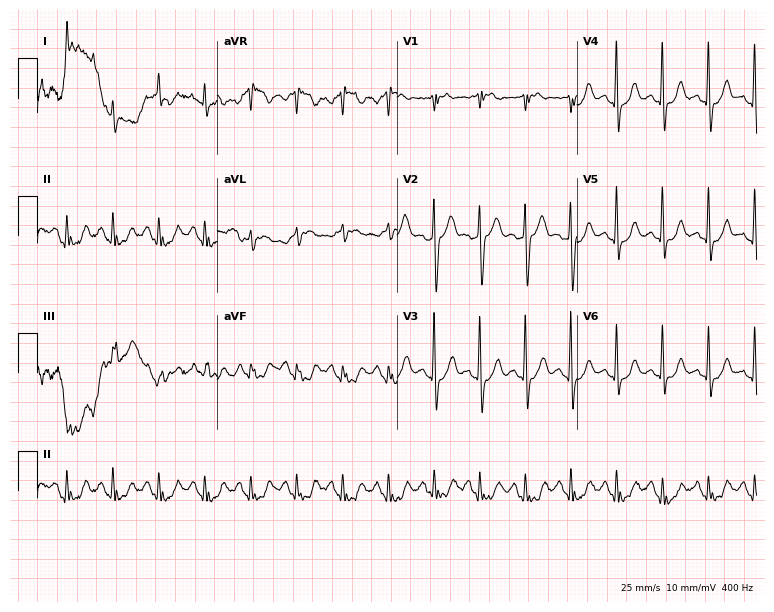
ECG — a 67-year-old man. Findings include sinus tachycardia (a sinus rate of 100 beats per minute or more).